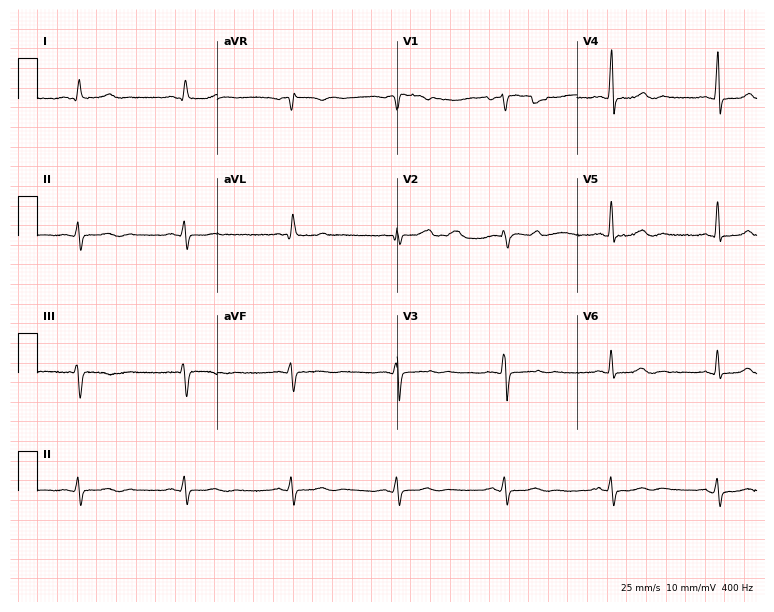
Resting 12-lead electrocardiogram (7.3-second recording at 400 Hz). Patient: a man, 55 years old. None of these six findings is recorded: first-degree AV block, right bundle branch block, left bundle branch block, sinus bradycardia, atrial fibrillation, sinus tachycardia.